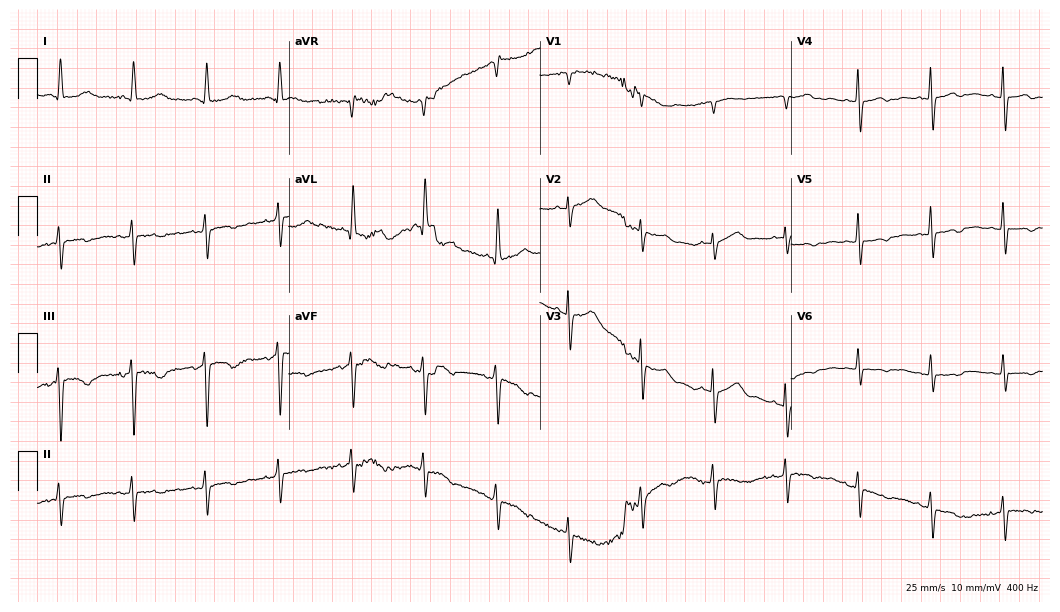
Electrocardiogram, a female, 84 years old. Of the six screened findings (first-degree AV block, right bundle branch block (RBBB), left bundle branch block (LBBB), sinus bradycardia, atrial fibrillation (AF), sinus tachycardia), none is recorded.